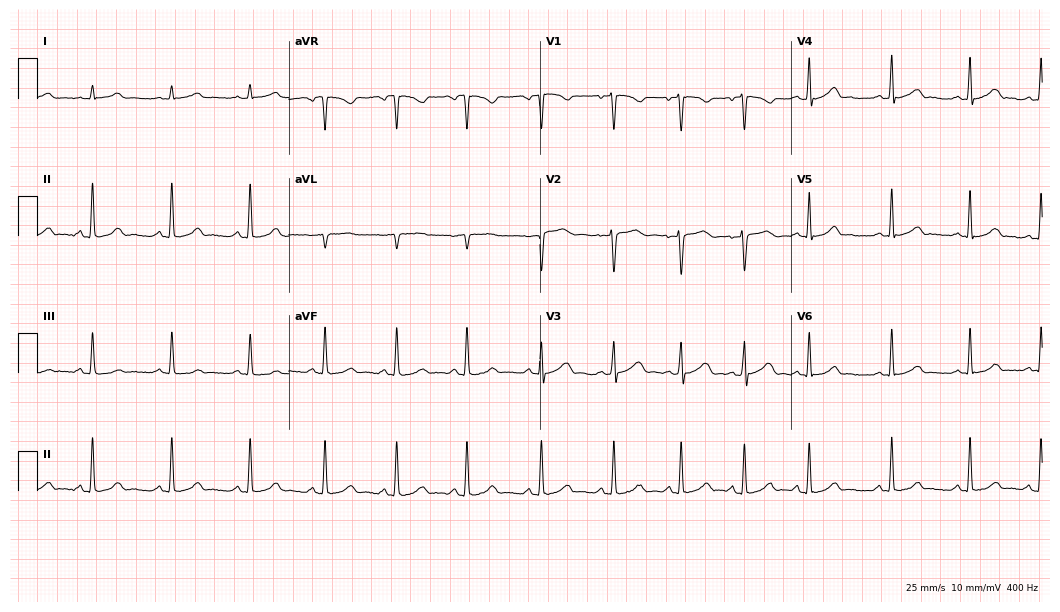
Electrocardiogram, a female, 18 years old. Overall reading on record: normal ECG.